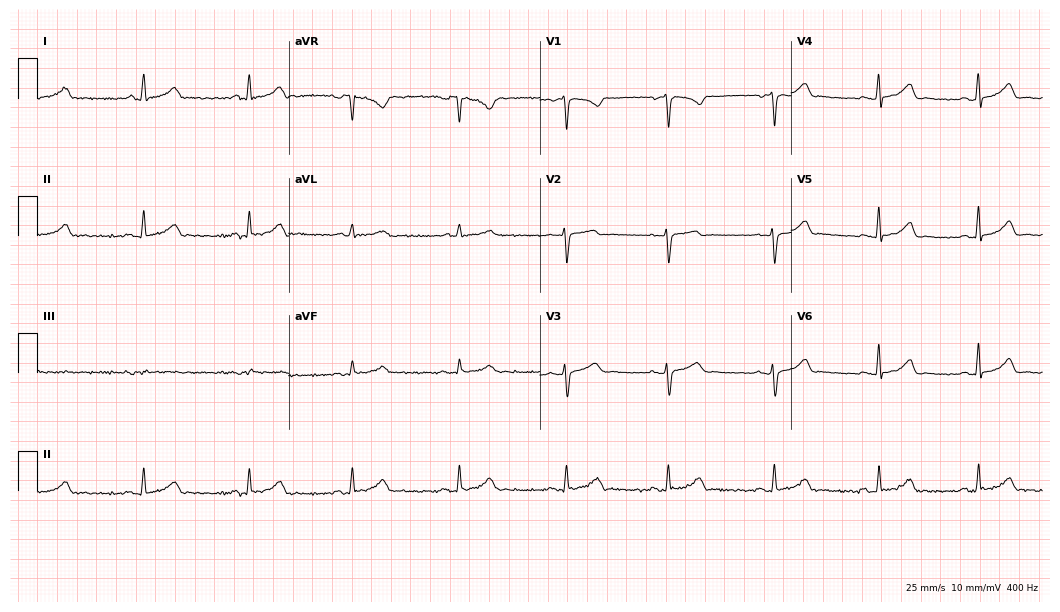
Resting 12-lead electrocardiogram (10.2-second recording at 400 Hz). Patient: a woman, 42 years old. Read as a normal ECG.